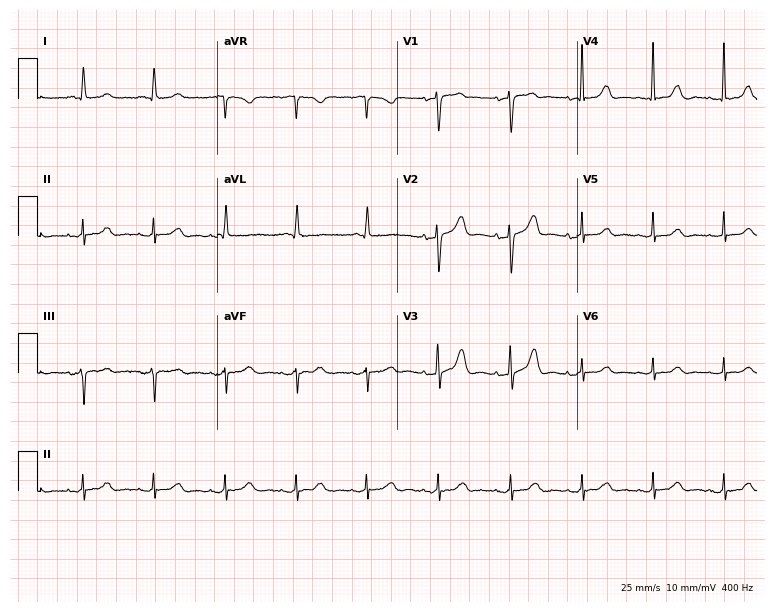
12-lead ECG from an 81-year-old female (7.3-second recording at 400 Hz). No first-degree AV block, right bundle branch block (RBBB), left bundle branch block (LBBB), sinus bradycardia, atrial fibrillation (AF) or sinus tachycardia recorded for this tracing.